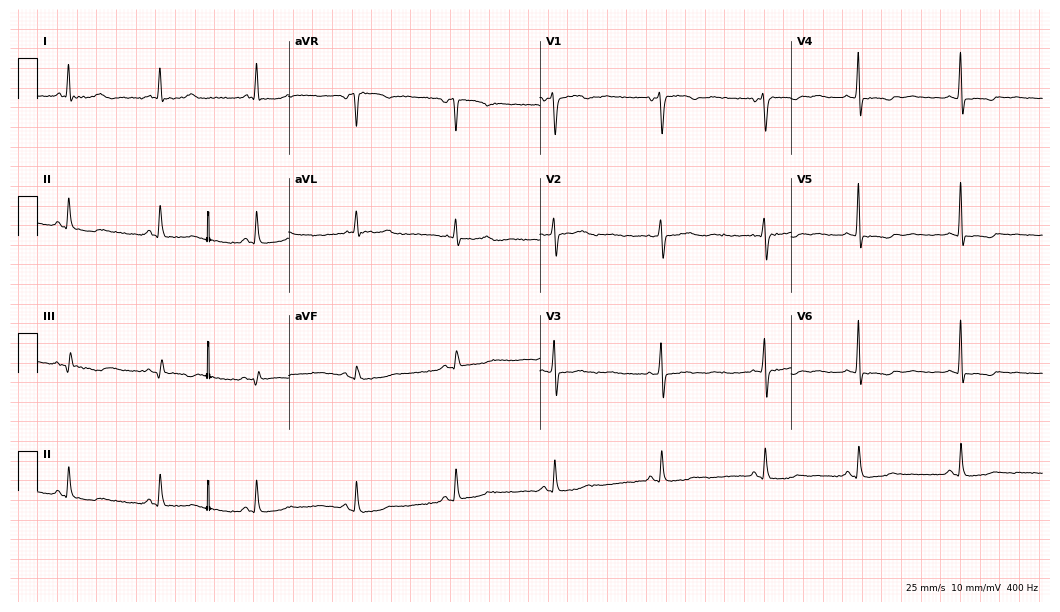
Electrocardiogram, a woman, 53 years old. Of the six screened findings (first-degree AV block, right bundle branch block, left bundle branch block, sinus bradycardia, atrial fibrillation, sinus tachycardia), none is recorded. Other findings, if any, are not listed.